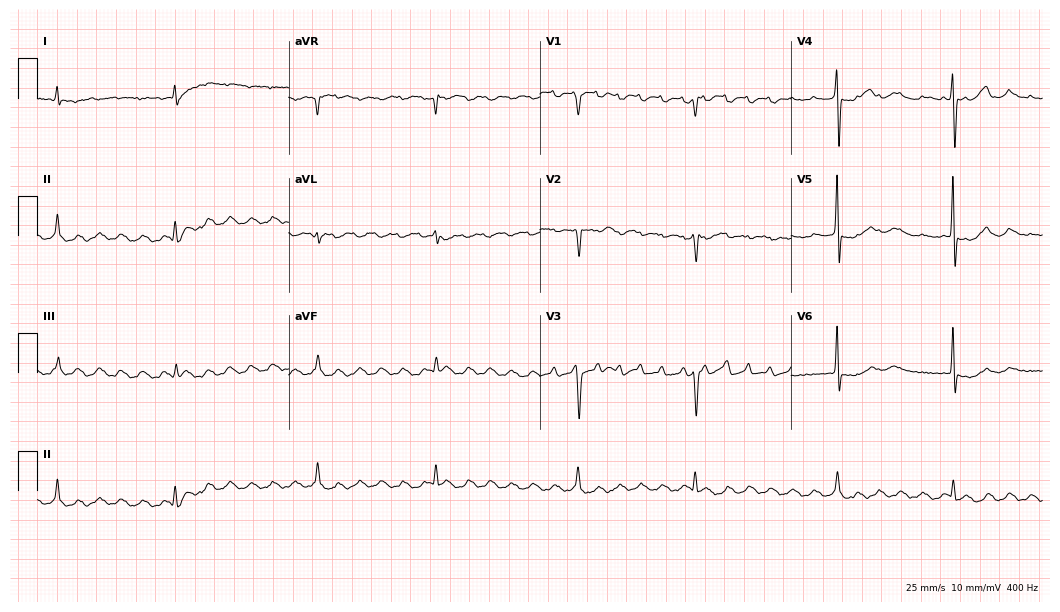
ECG (10.2-second recording at 400 Hz) — a 57-year-old woman. Screened for six findings — first-degree AV block, right bundle branch block, left bundle branch block, sinus bradycardia, atrial fibrillation, sinus tachycardia — none is recorded.